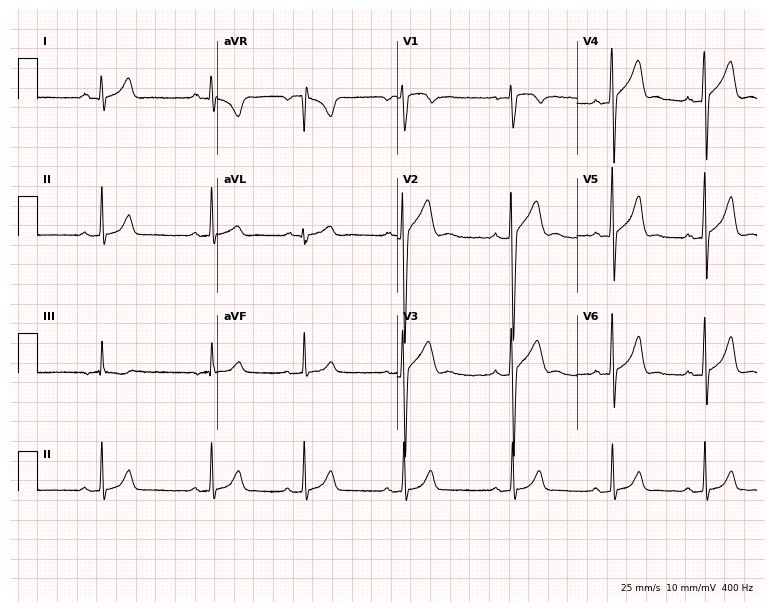
Resting 12-lead electrocardiogram (7.3-second recording at 400 Hz). Patient: a 23-year-old man. None of these six findings is recorded: first-degree AV block, right bundle branch block (RBBB), left bundle branch block (LBBB), sinus bradycardia, atrial fibrillation (AF), sinus tachycardia.